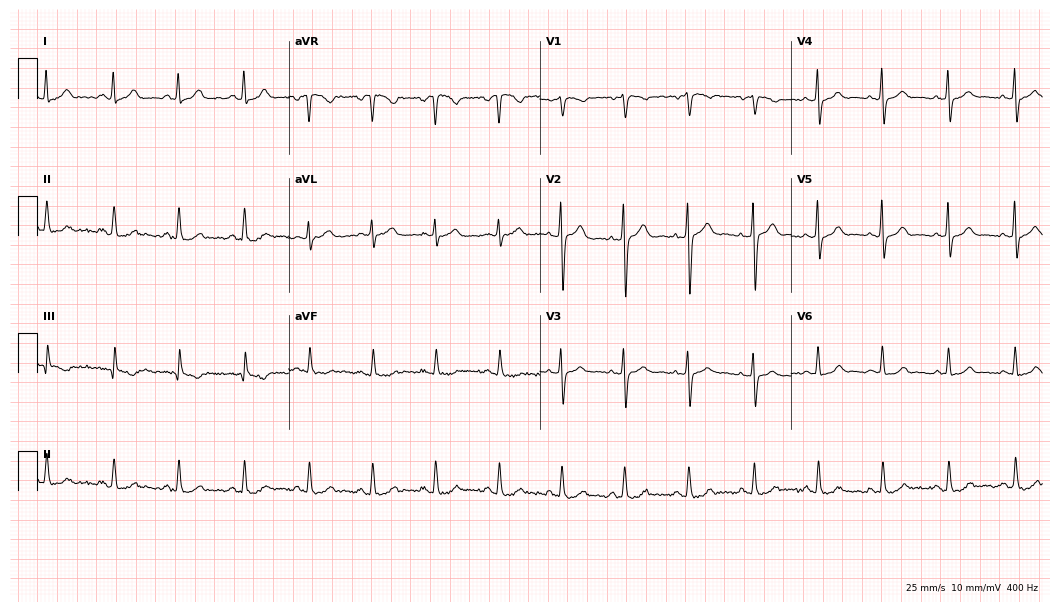
12-lead ECG from a woman, 44 years old. Screened for six findings — first-degree AV block, right bundle branch block, left bundle branch block, sinus bradycardia, atrial fibrillation, sinus tachycardia — none is recorded. Only these six findings were labelled.